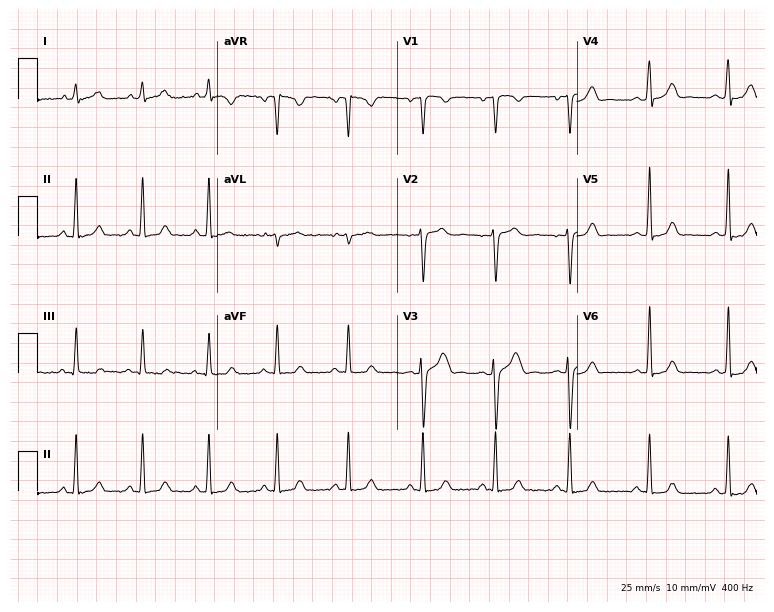
Standard 12-lead ECG recorded from a woman, 28 years old (7.3-second recording at 400 Hz). None of these six findings is recorded: first-degree AV block, right bundle branch block, left bundle branch block, sinus bradycardia, atrial fibrillation, sinus tachycardia.